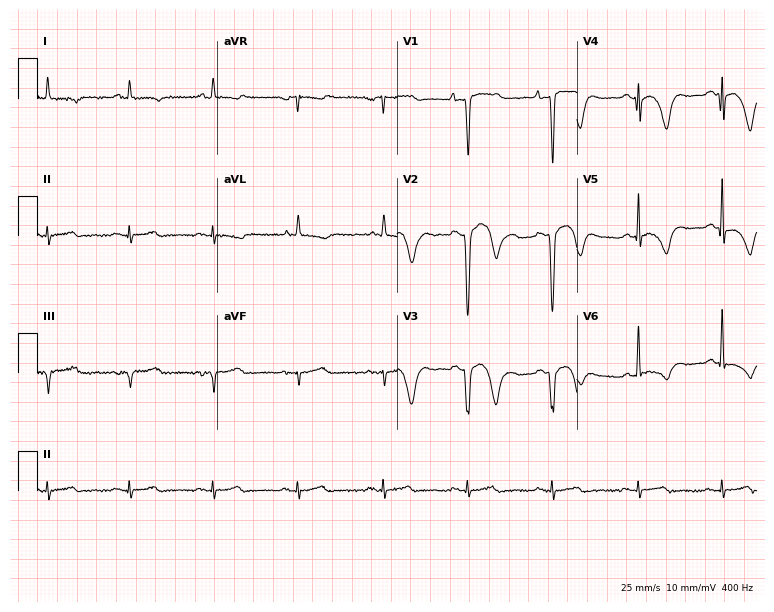
Standard 12-lead ECG recorded from a male, 73 years old (7.3-second recording at 400 Hz). None of these six findings is recorded: first-degree AV block, right bundle branch block, left bundle branch block, sinus bradycardia, atrial fibrillation, sinus tachycardia. Findings outside these six are not listed.